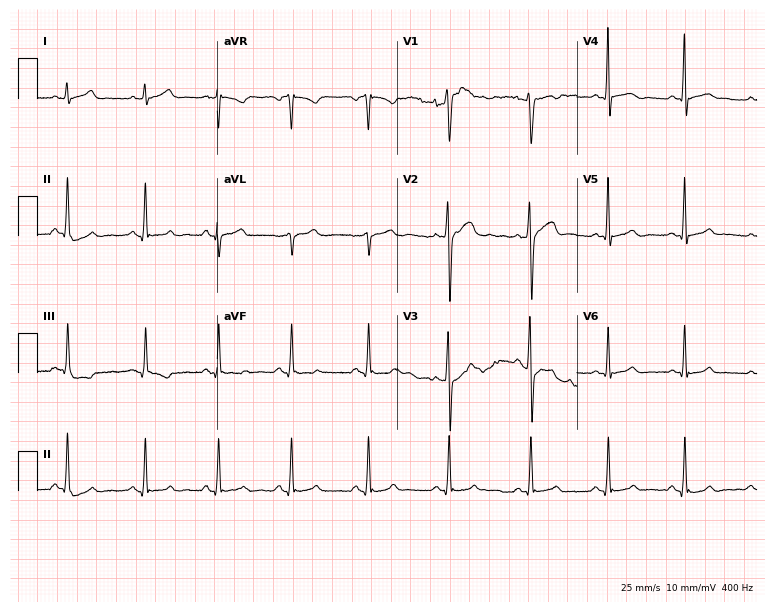
Standard 12-lead ECG recorded from a 28-year-old male patient (7.3-second recording at 400 Hz). Read as a normal ECG.